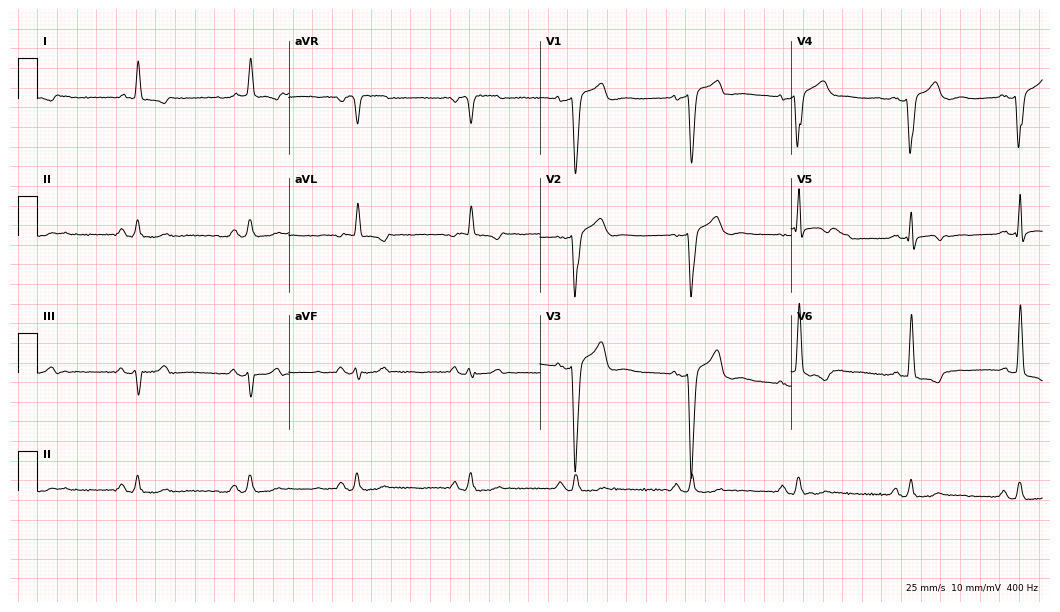
12-lead ECG from a male, 65 years old. Screened for six findings — first-degree AV block, right bundle branch block, left bundle branch block, sinus bradycardia, atrial fibrillation, sinus tachycardia — none is recorded.